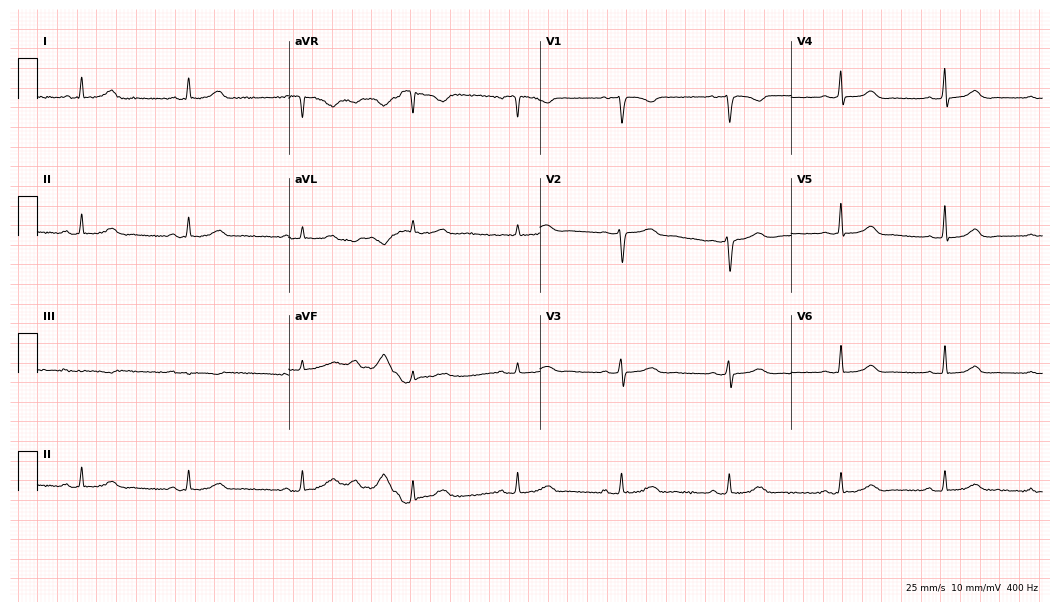
Resting 12-lead electrocardiogram. Patient: a female, 34 years old. Read as a normal ECG.